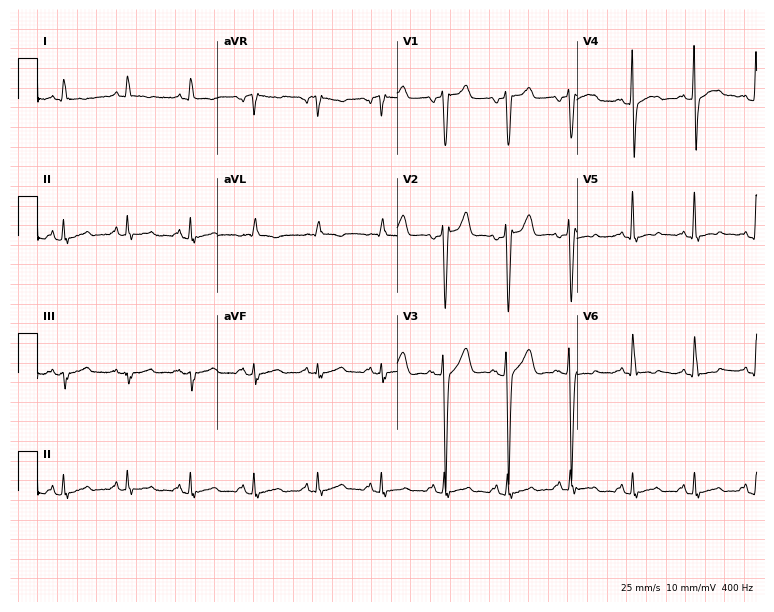
ECG (7.3-second recording at 400 Hz) — a 47-year-old man. Screened for six findings — first-degree AV block, right bundle branch block (RBBB), left bundle branch block (LBBB), sinus bradycardia, atrial fibrillation (AF), sinus tachycardia — none is recorded. Findings outside these six are not listed.